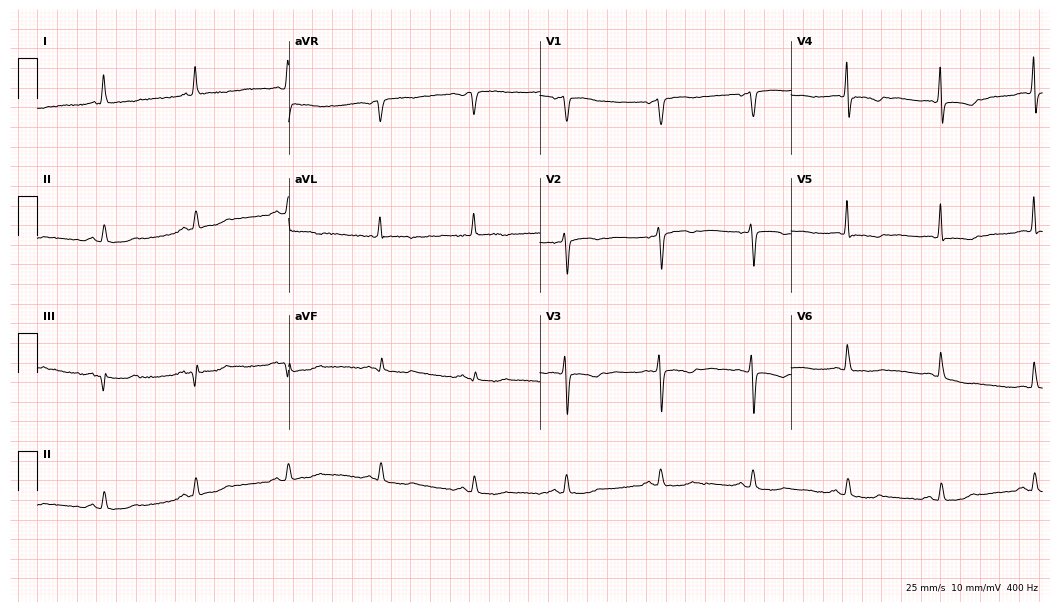
ECG (10.2-second recording at 400 Hz) — a female, 67 years old. Screened for six findings — first-degree AV block, right bundle branch block (RBBB), left bundle branch block (LBBB), sinus bradycardia, atrial fibrillation (AF), sinus tachycardia — none is recorded. Other findings, if any, are not listed.